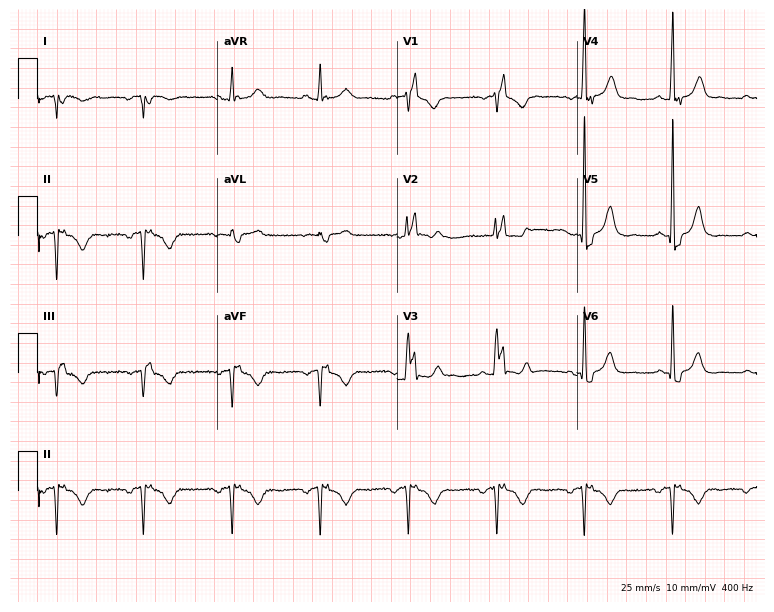
Standard 12-lead ECG recorded from a 62-year-old female patient (7.3-second recording at 400 Hz). None of these six findings is recorded: first-degree AV block, right bundle branch block, left bundle branch block, sinus bradycardia, atrial fibrillation, sinus tachycardia. Findings outside these six are not listed.